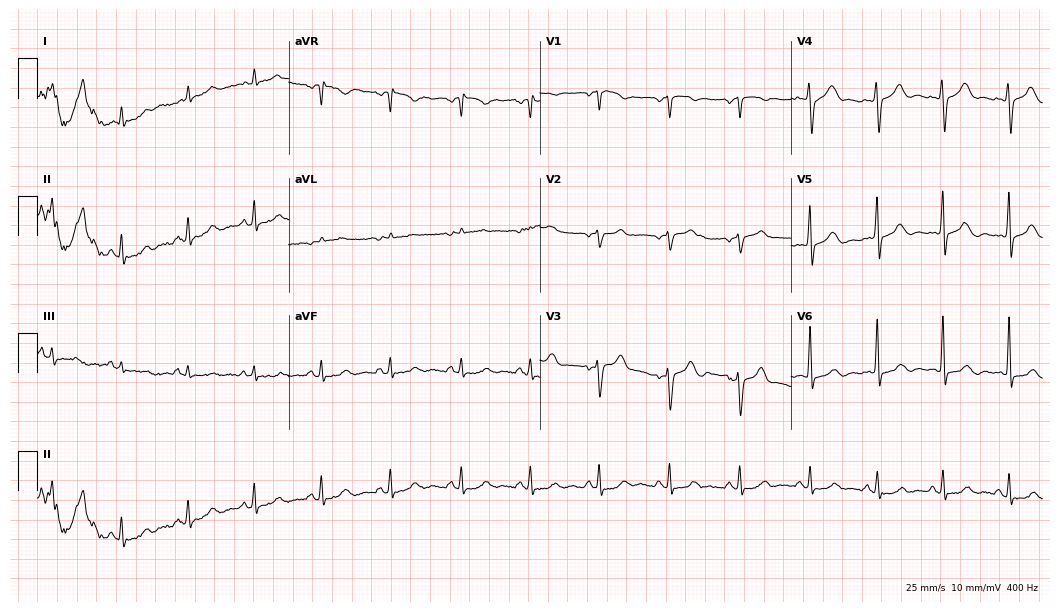
12-lead ECG from a 59-year-old woman. Recorded interpretation: within normal limits.